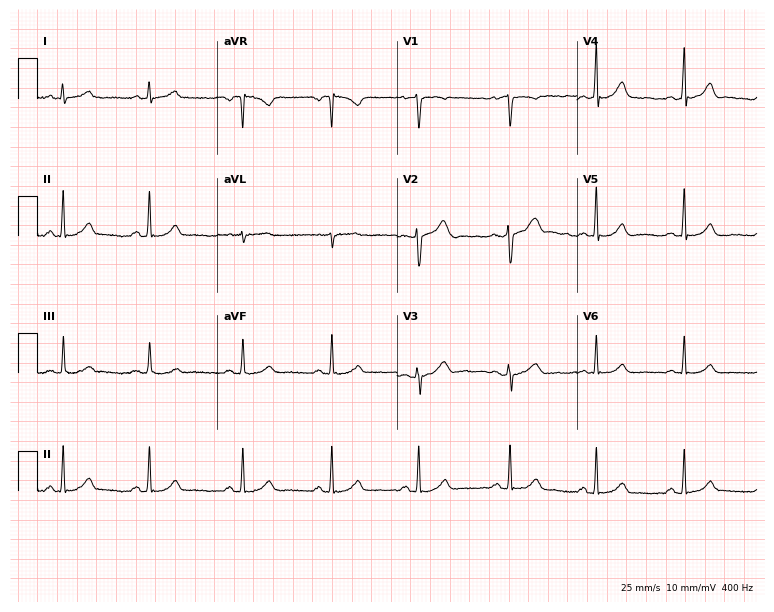
12-lead ECG from a woman, 27 years old. Recorded interpretation: within normal limits.